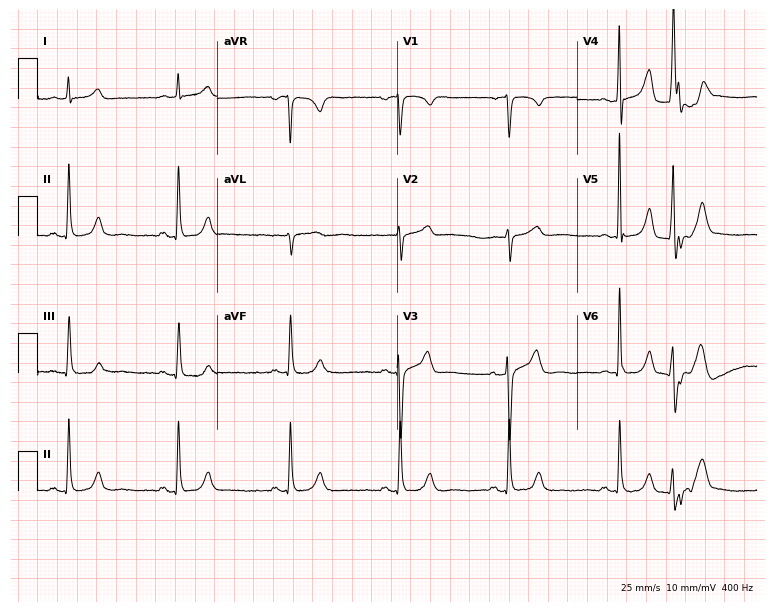
ECG (7.3-second recording at 400 Hz) — a 67-year-old male. Screened for six findings — first-degree AV block, right bundle branch block, left bundle branch block, sinus bradycardia, atrial fibrillation, sinus tachycardia — none is recorded. Other findings, if any, are not listed.